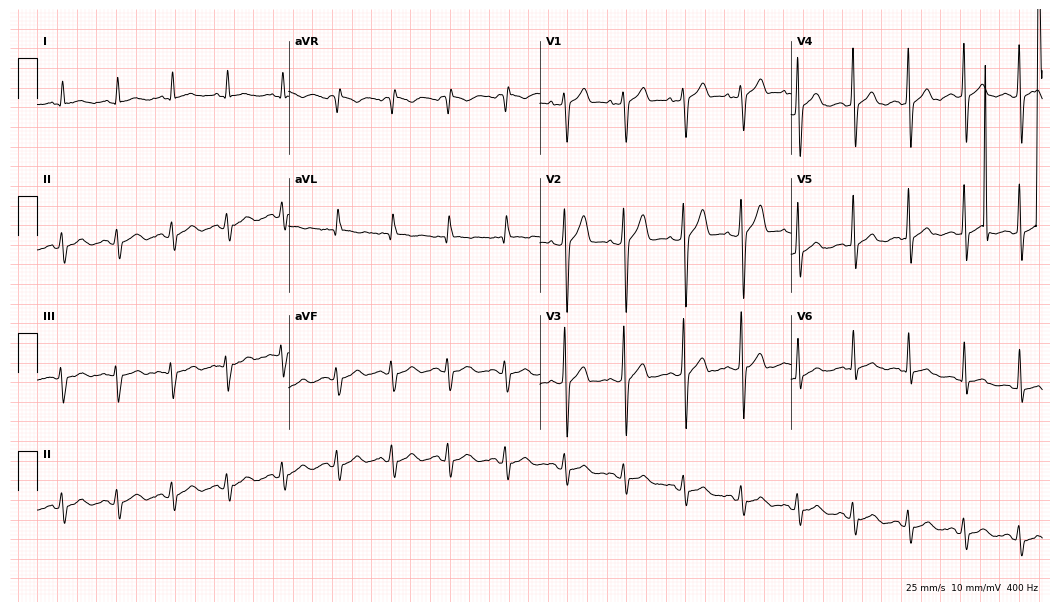
Standard 12-lead ECG recorded from a 44-year-old male patient (10.2-second recording at 400 Hz). The tracing shows sinus tachycardia (a sinus rate of 100 beats per minute or more).